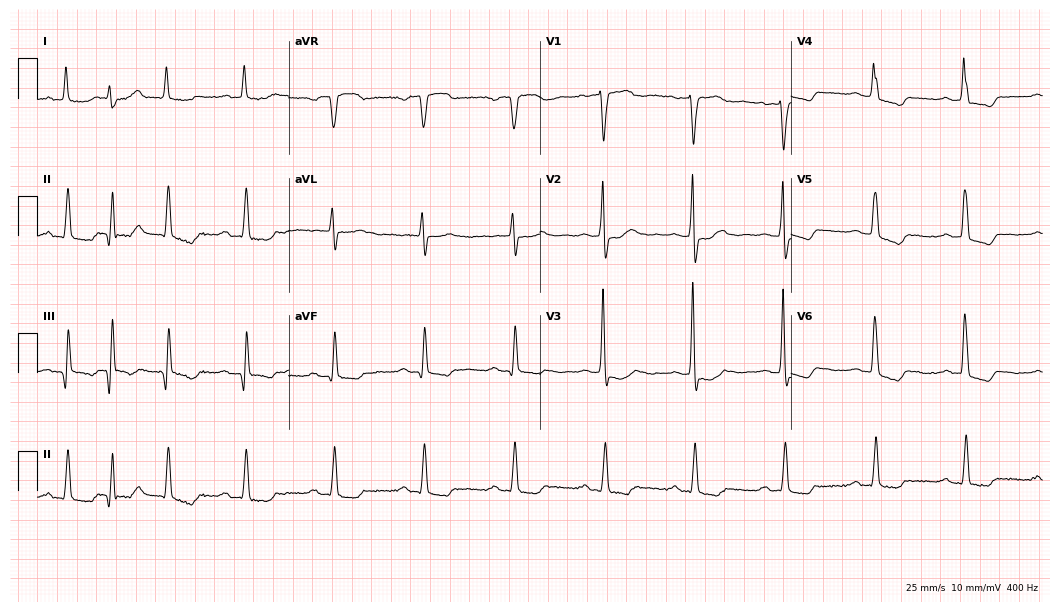
12-lead ECG from a woman, 71 years old (10.2-second recording at 400 Hz). Shows first-degree AV block.